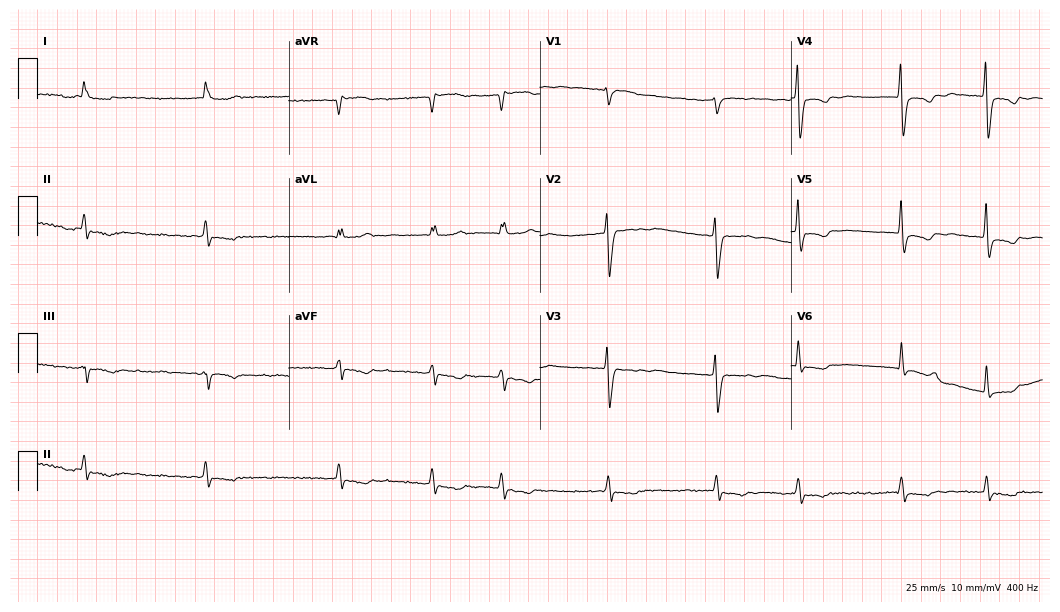
Electrocardiogram, a female, 66 years old. Interpretation includes atrial fibrillation.